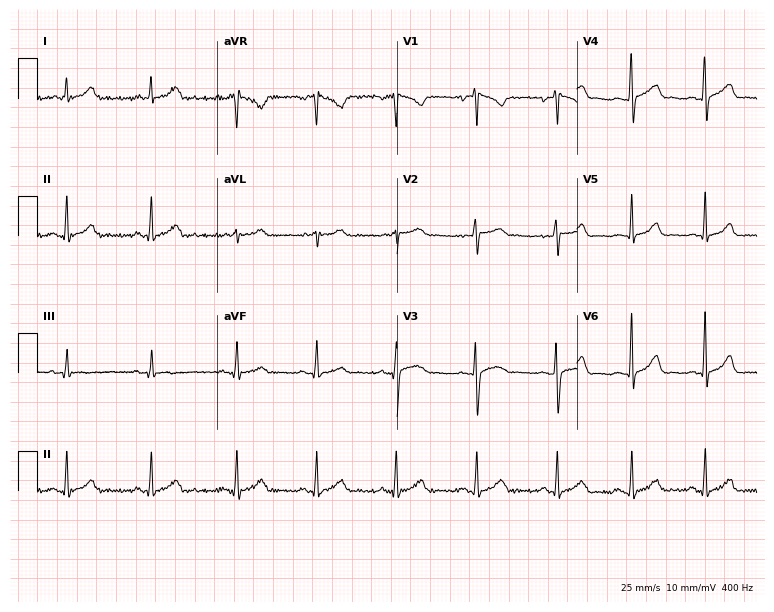
Electrocardiogram (7.3-second recording at 400 Hz), a female, 29 years old. Overall reading on record: normal ECG.